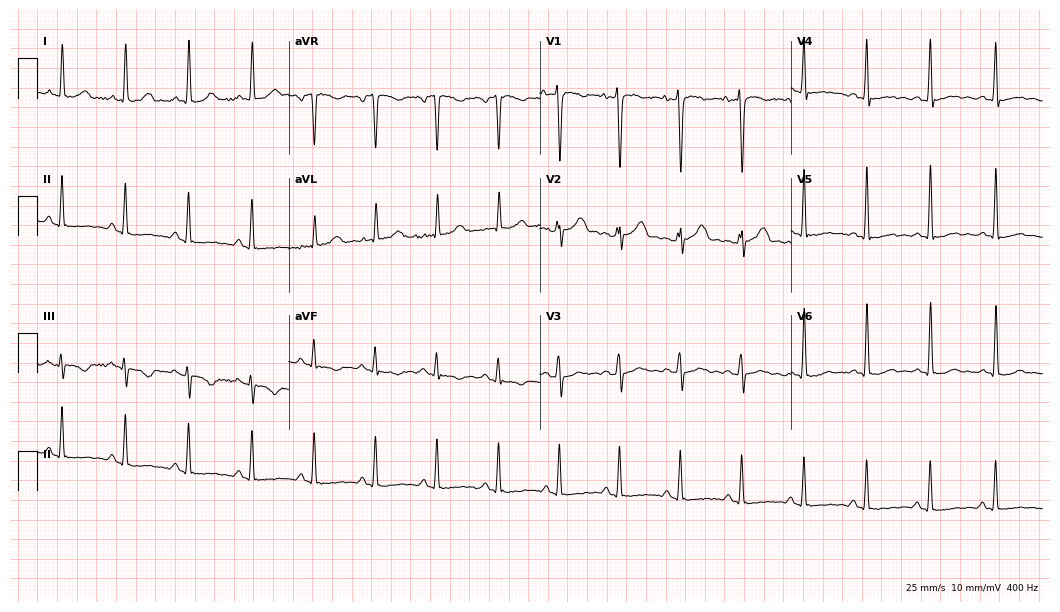
12-lead ECG from a male, 44 years old. Screened for six findings — first-degree AV block, right bundle branch block (RBBB), left bundle branch block (LBBB), sinus bradycardia, atrial fibrillation (AF), sinus tachycardia — none is recorded. Only these six findings were labelled.